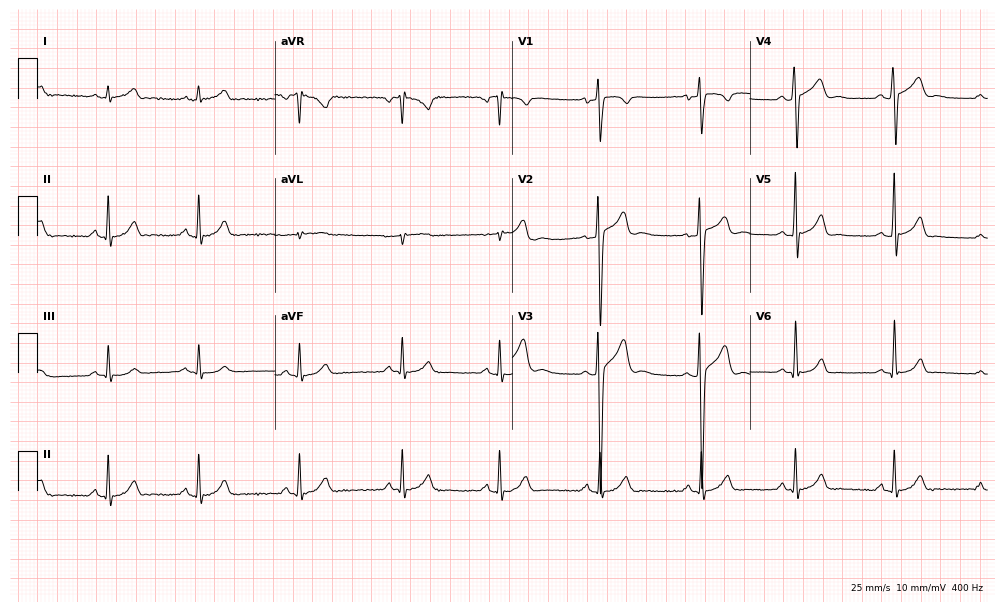
Electrocardiogram, a man, 17 years old. Overall reading on record: normal ECG.